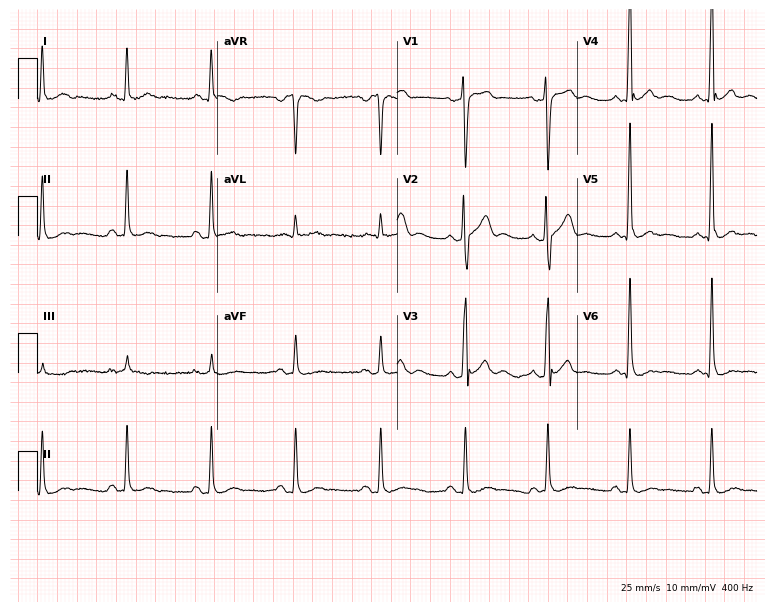
Electrocardiogram (7.3-second recording at 400 Hz), a 41-year-old man. Of the six screened findings (first-degree AV block, right bundle branch block, left bundle branch block, sinus bradycardia, atrial fibrillation, sinus tachycardia), none is recorded.